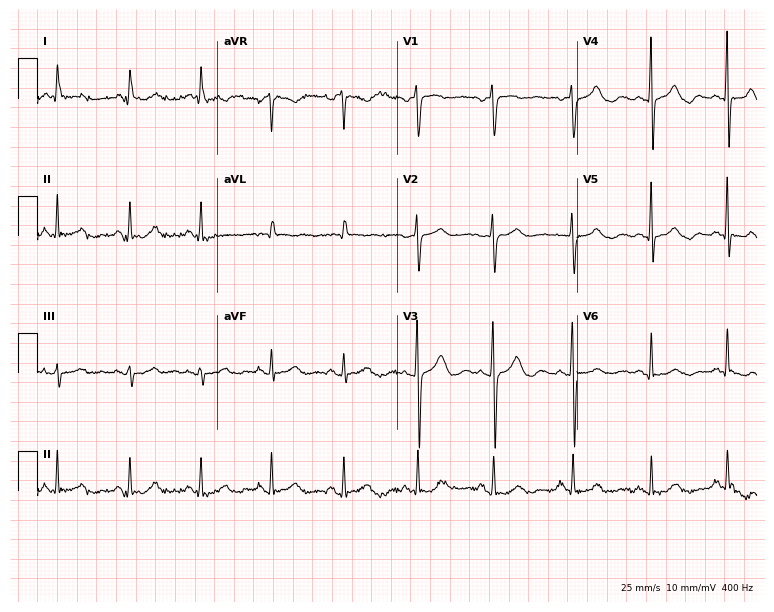
Electrocardiogram, a 57-year-old female. Overall reading on record: normal ECG.